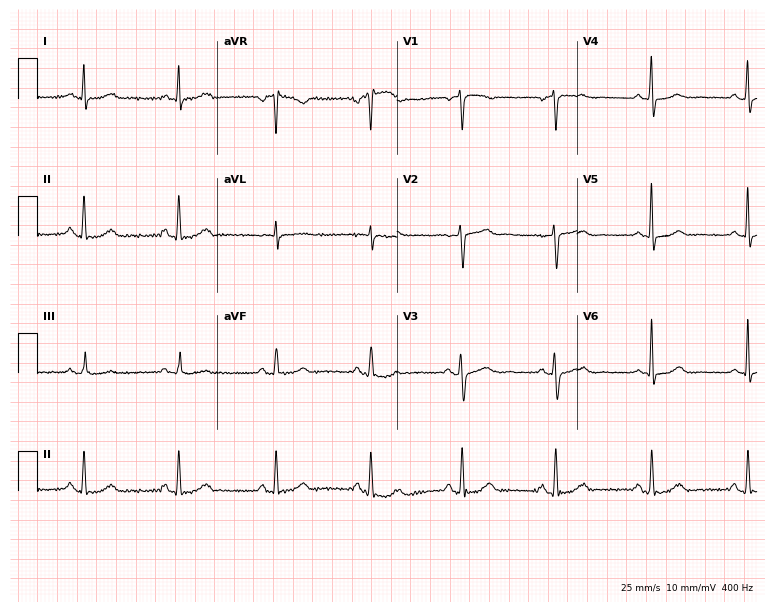
Standard 12-lead ECG recorded from a female, 53 years old. Read as a normal ECG.